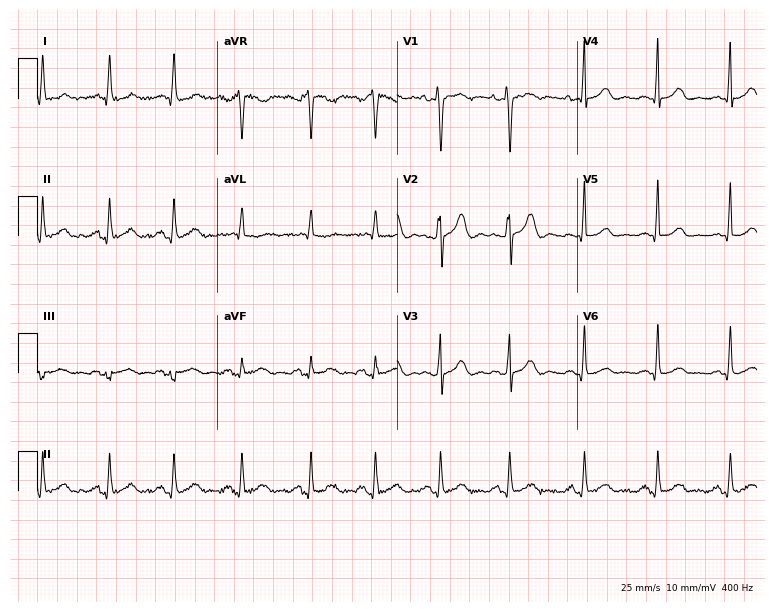
Electrocardiogram (7.3-second recording at 400 Hz), a 32-year-old woman. Overall reading on record: normal ECG.